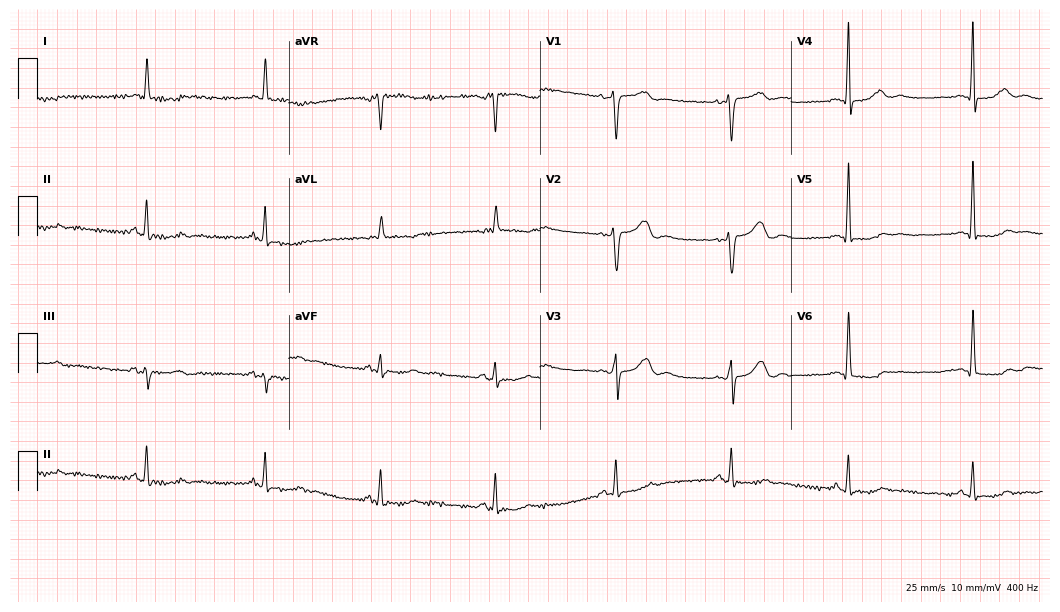
Electrocardiogram, a woman, 63 years old. Interpretation includes sinus bradycardia (a sinus rate of 50 beats per minute or less).